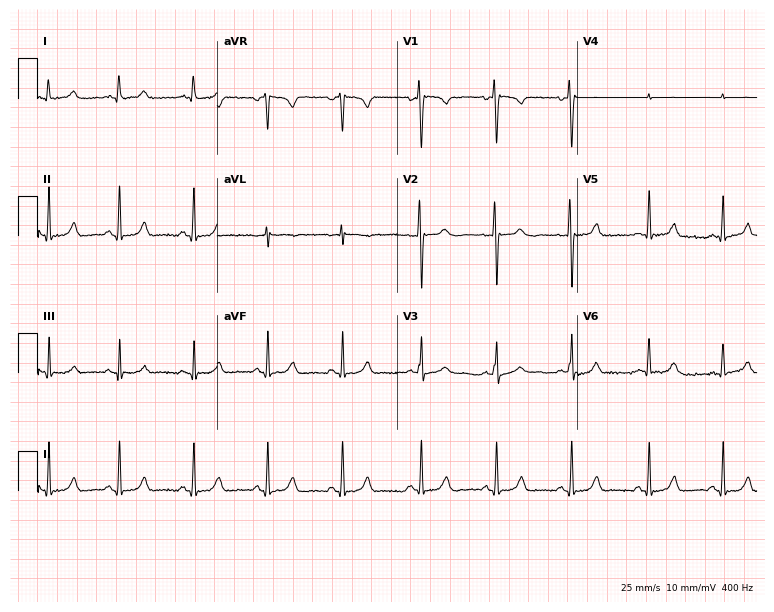
12-lead ECG (7.3-second recording at 400 Hz) from a 23-year-old woman. Screened for six findings — first-degree AV block, right bundle branch block, left bundle branch block, sinus bradycardia, atrial fibrillation, sinus tachycardia — none is recorded.